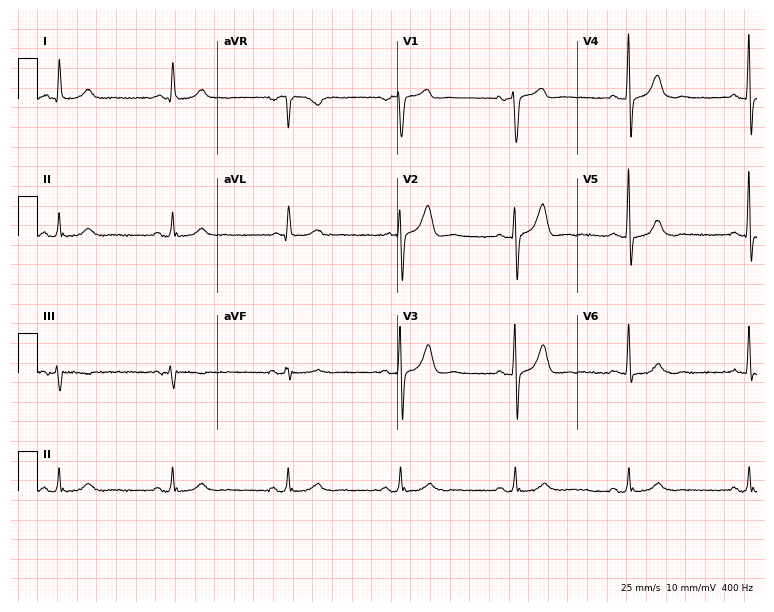
12-lead ECG (7.3-second recording at 400 Hz) from a 55-year-old man. Screened for six findings — first-degree AV block, right bundle branch block, left bundle branch block, sinus bradycardia, atrial fibrillation, sinus tachycardia — none is recorded. Findings outside these six are not listed.